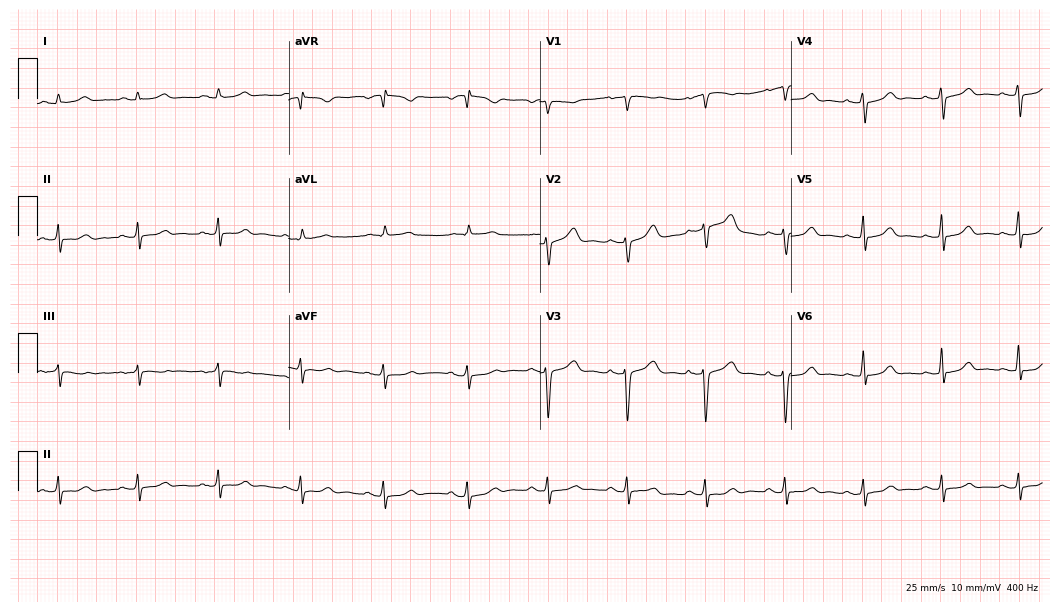
Resting 12-lead electrocardiogram. Patient: a 38-year-old female. Read as a normal ECG.